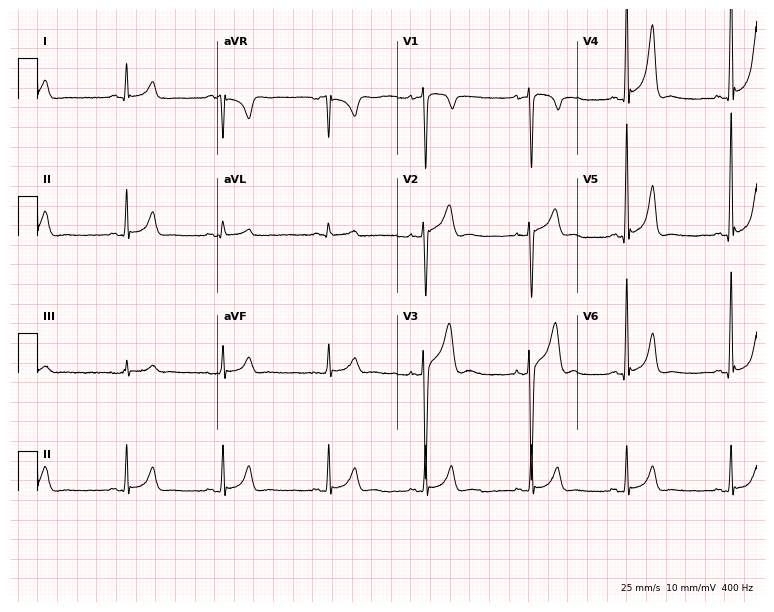
12-lead ECG from a 24-year-old man. Labelled as a normal ECG.